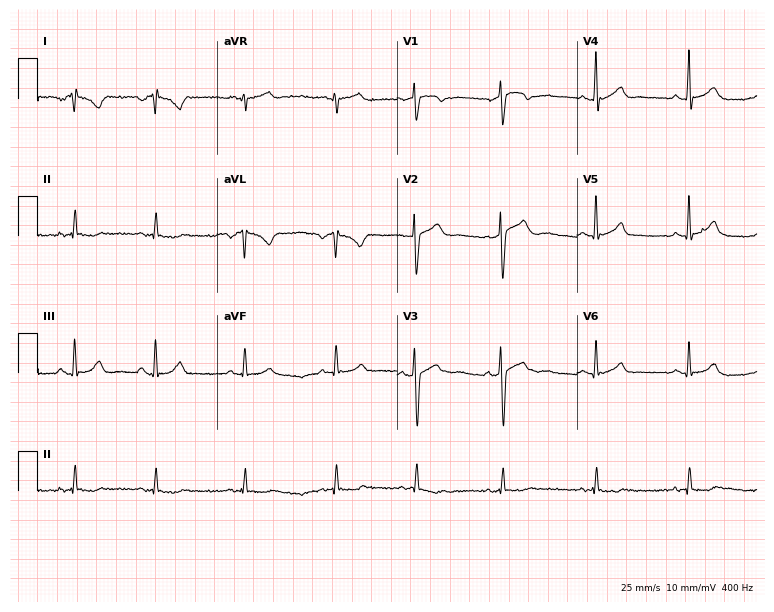
ECG (7.3-second recording at 400 Hz) — a male patient, 17 years old. Labelled as a normal ECG.